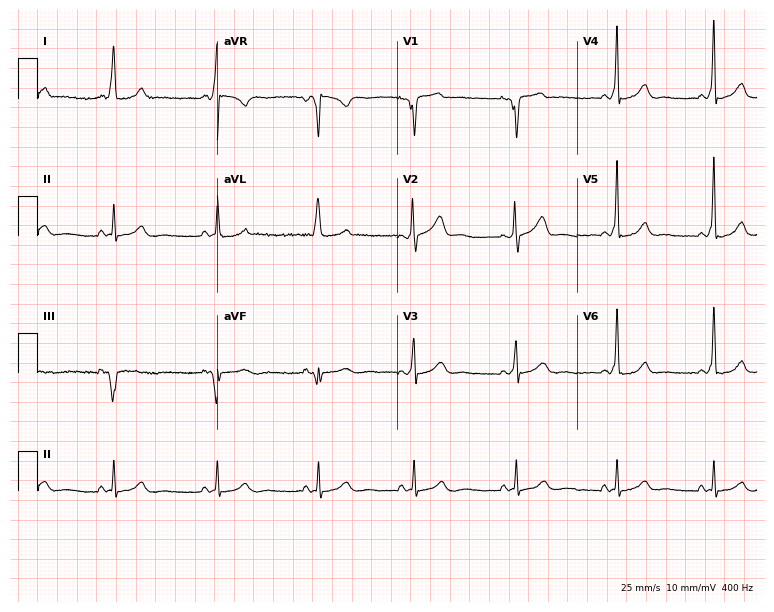
12-lead ECG from a female, 39 years old (7.3-second recording at 400 Hz). No first-degree AV block, right bundle branch block, left bundle branch block, sinus bradycardia, atrial fibrillation or sinus tachycardia recorded for this tracing. Only these six findings were labelled.